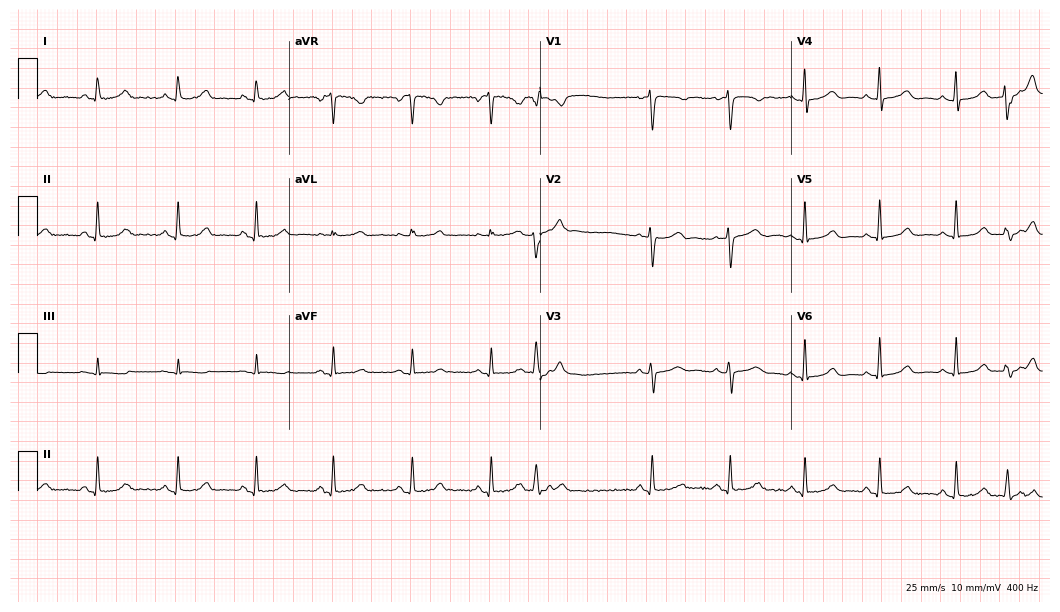
ECG — a 44-year-old female patient. Screened for six findings — first-degree AV block, right bundle branch block, left bundle branch block, sinus bradycardia, atrial fibrillation, sinus tachycardia — none is recorded. Other findings, if any, are not listed.